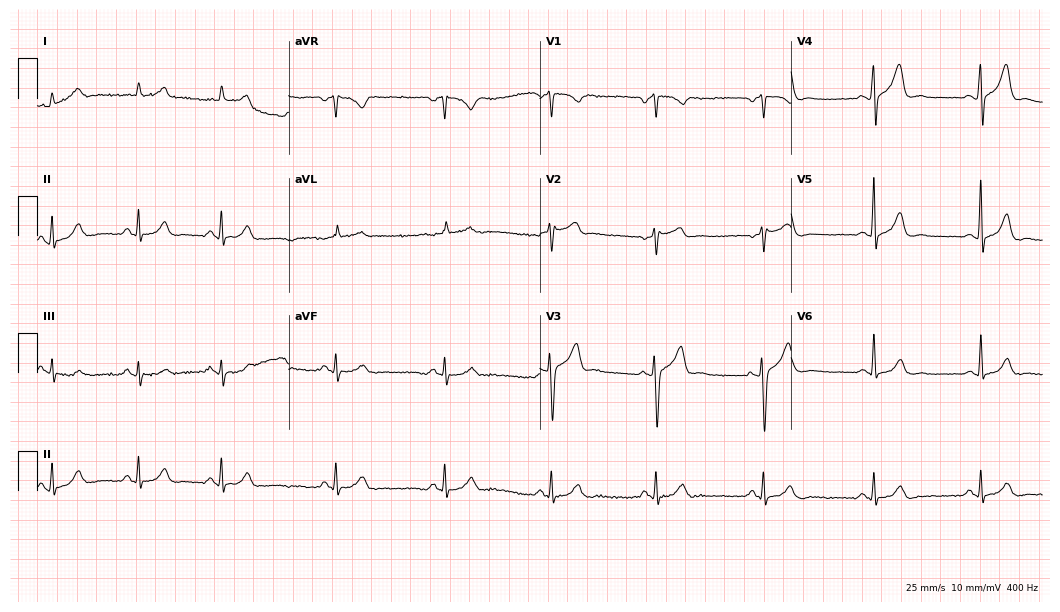
Resting 12-lead electrocardiogram. Patient: a man, 56 years old. None of these six findings is recorded: first-degree AV block, right bundle branch block, left bundle branch block, sinus bradycardia, atrial fibrillation, sinus tachycardia. Only these six findings were labelled.